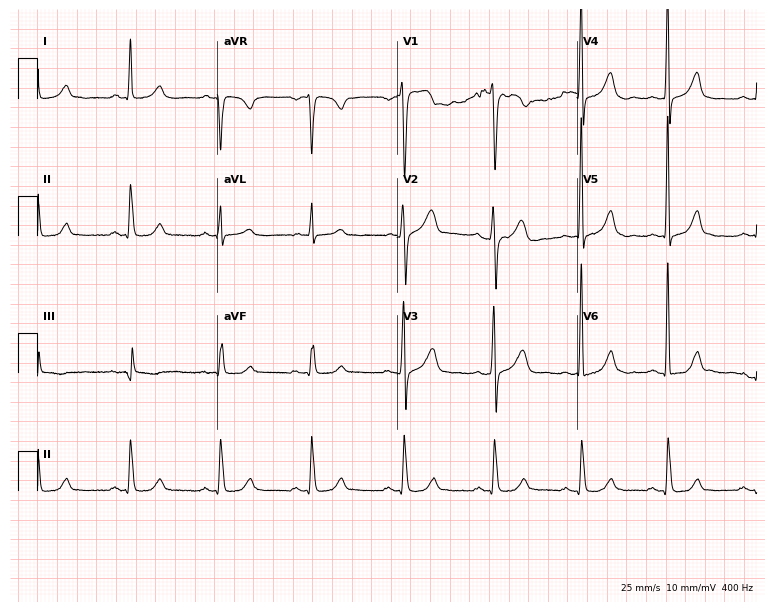
12-lead ECG (7.3-second recording at 400 Hz) from a male, 51 years old. Labelled as a normal ECG.